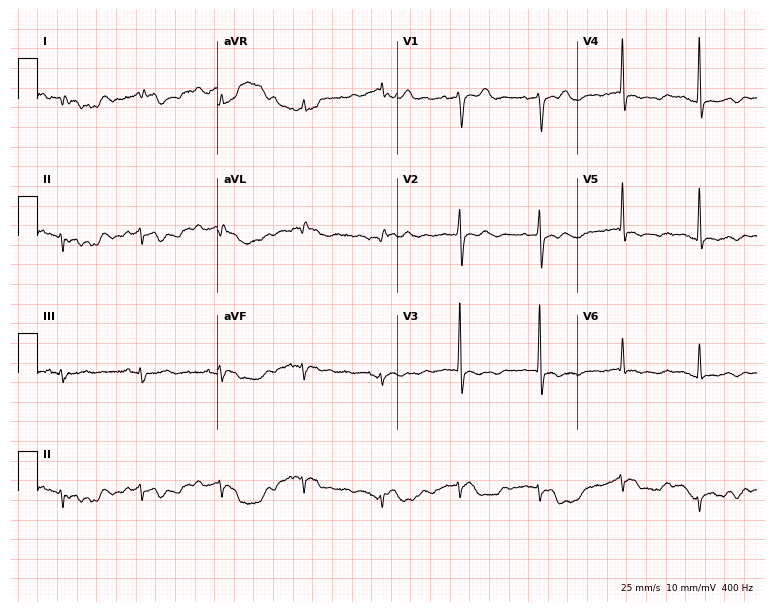
ECG (7.3-second recording at 400 Hz) — an 83-year-old female. Screened for six findings — first-degree AV block, right bundle branch block (RBBB), left bundle branch block (LBBB), sinus bradycardia, atrial fibrillation (AF), sinus tachycardia — none is recorded.